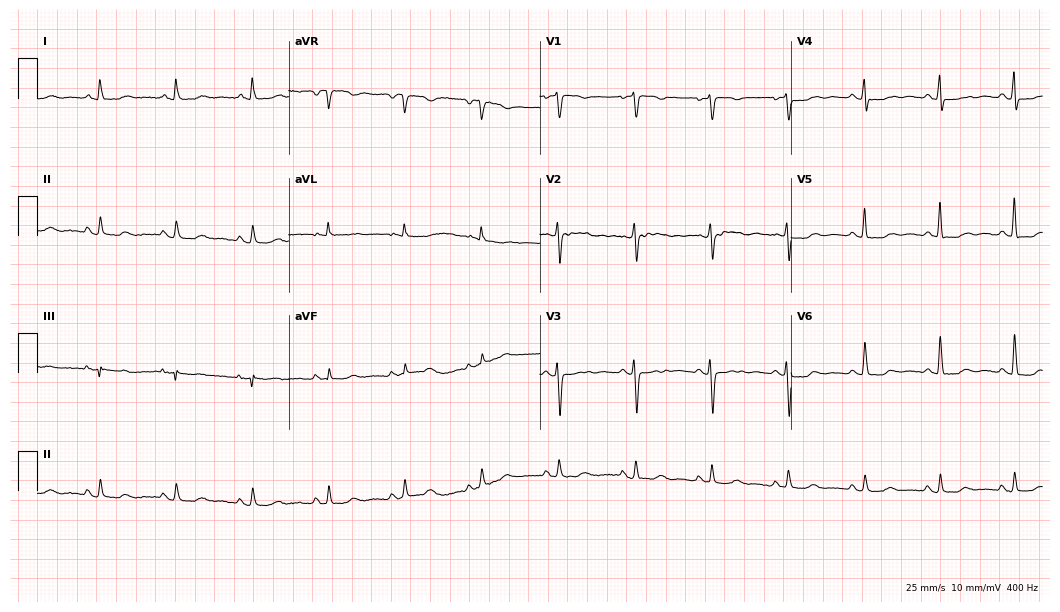
ECG (10.2-second recording at 400 Hz) — a 71-year-old female patient. Labelled as a normal ECG.